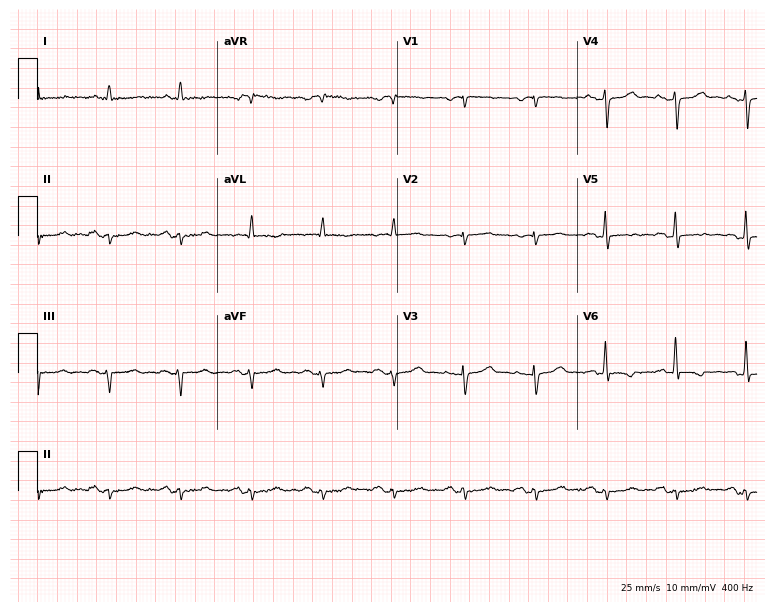
Standard 12-lead ECG recorded from a 71-year-old female patient. None of these six findings is recorded: first-degree AV block, right bundle branch block, left bundle branch block, sinus bradycardia, atrial fibrillation, sinus tachycardia.